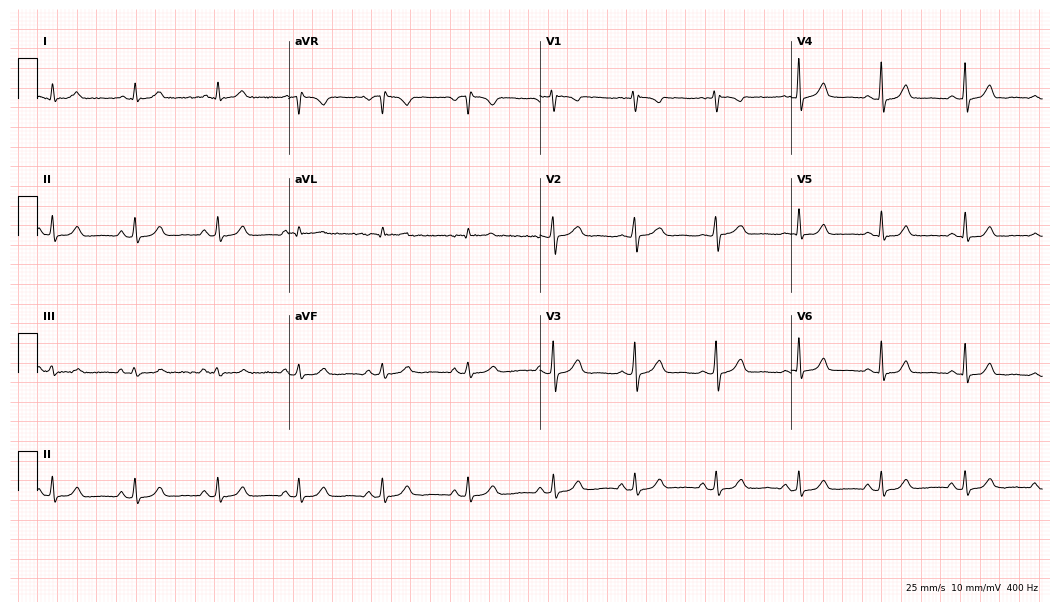
Resting 12-lead electrocardiogram (10.2-second recording at 400 Hz). Patient: a woman, 44 years old. Read as a normal ECG.